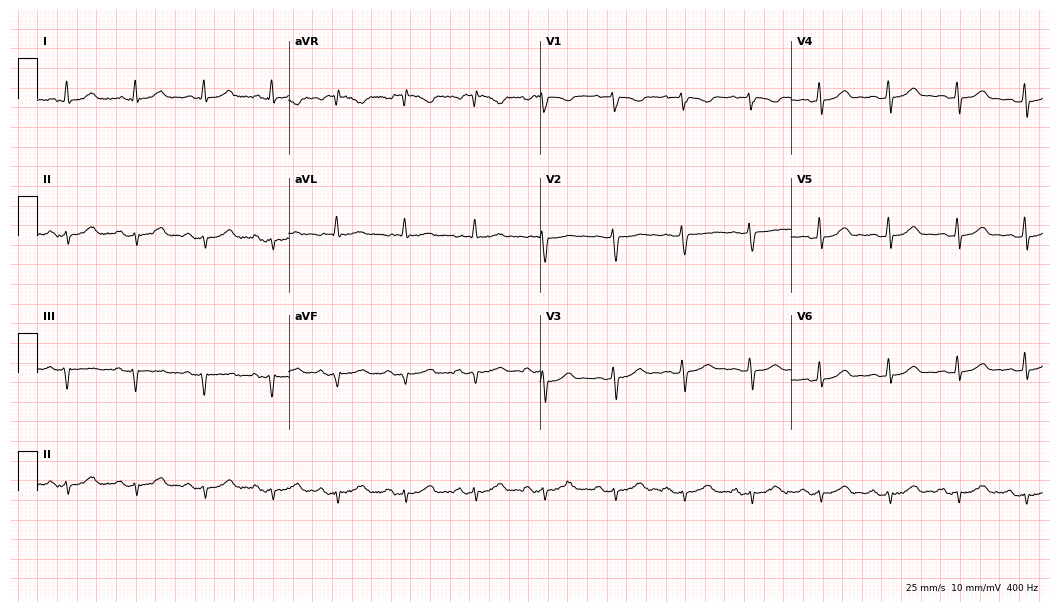
12-lead ECG from a 74-year-old female. Labelled as a normal ECG.